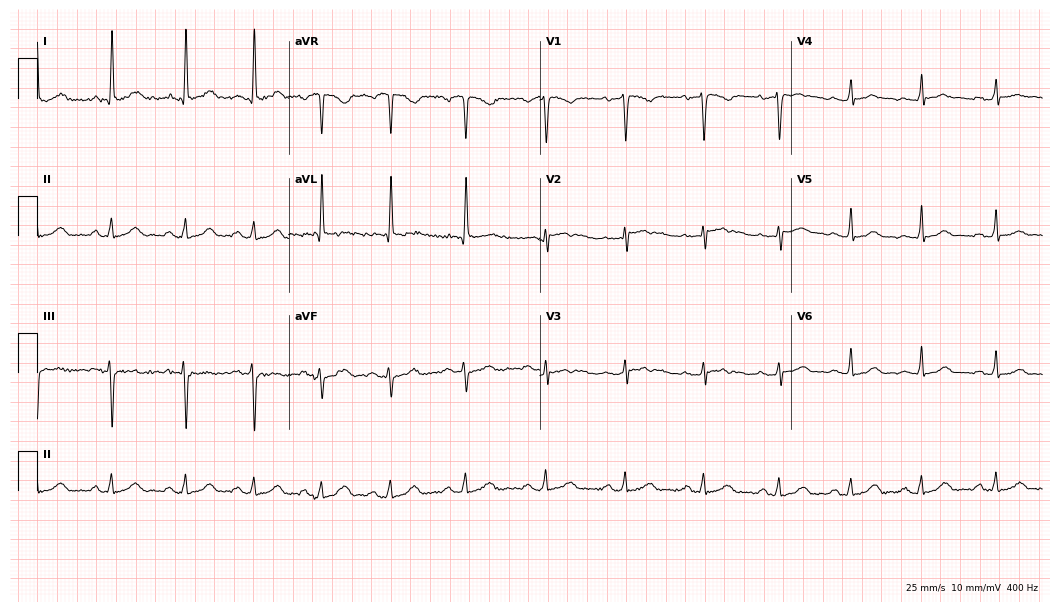
Resting 12-lead electrocardiogram (10.2-second recording at 400 Hz). Patient: a 50-year-old woman. None of these six findings is recorded: first-degree AV block, right bundle branch block, left bundle branch block, sinus bradycardia, atrial fibrillation, sinus tachycardia.